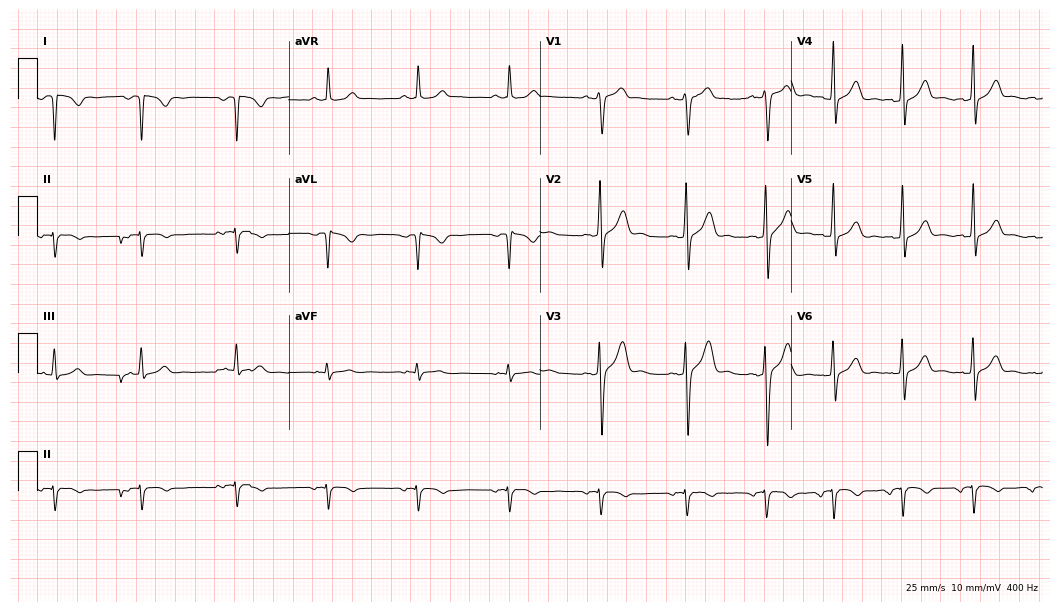
12-lead ECG from a 37-year-old man (10.2-second recording at 400 Hz). No first-degree AV block, right bundle branch block, left bundle branch block, sinus bradycardia, atrial fibrillation or sinus tachycardia recorded for this tracing.